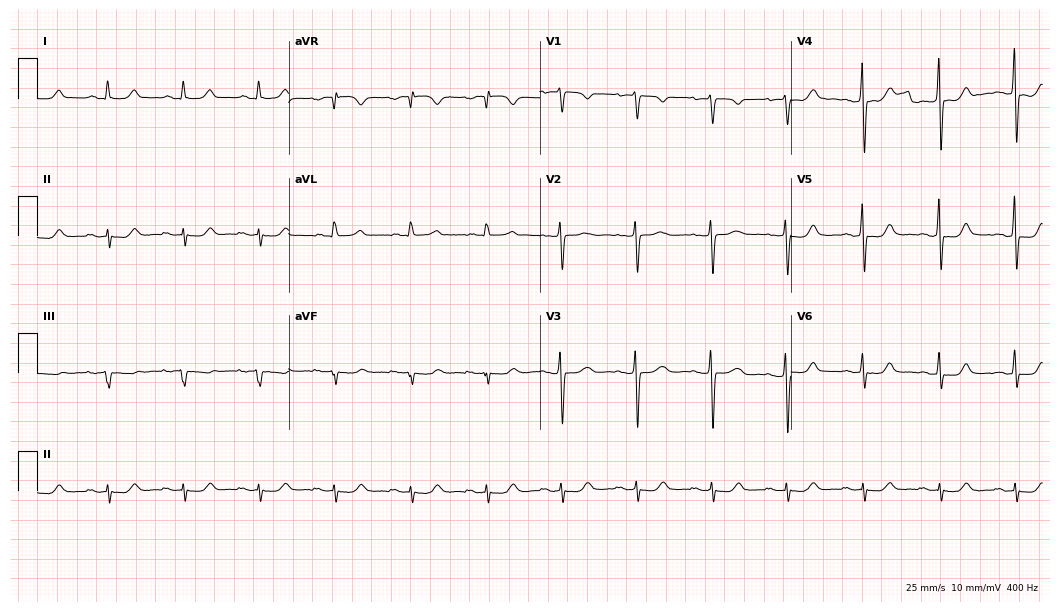
Electrocardiogram (10.2-second recording at 400 Hz), a 71-year-old female. Of the six screened findings (first-degree AV block, right bundle branch block, left bundle branch block, sinus bradycardia, atrial fibrillation, sinus tachycardia), none is recorded. Only these six findings were labelled.